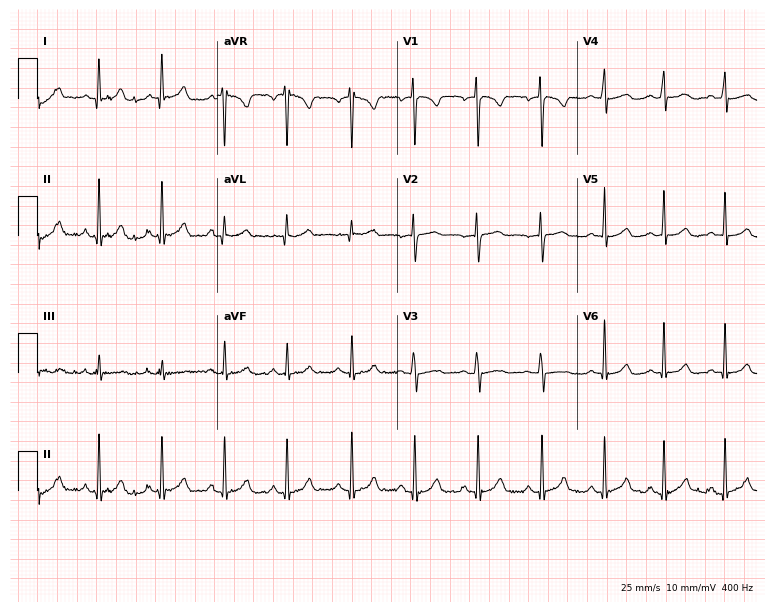
Standard 12-lead ECG recorded from a female, 22 years old (7.3-second recording at 400 Hz). Read as a normal ECG.